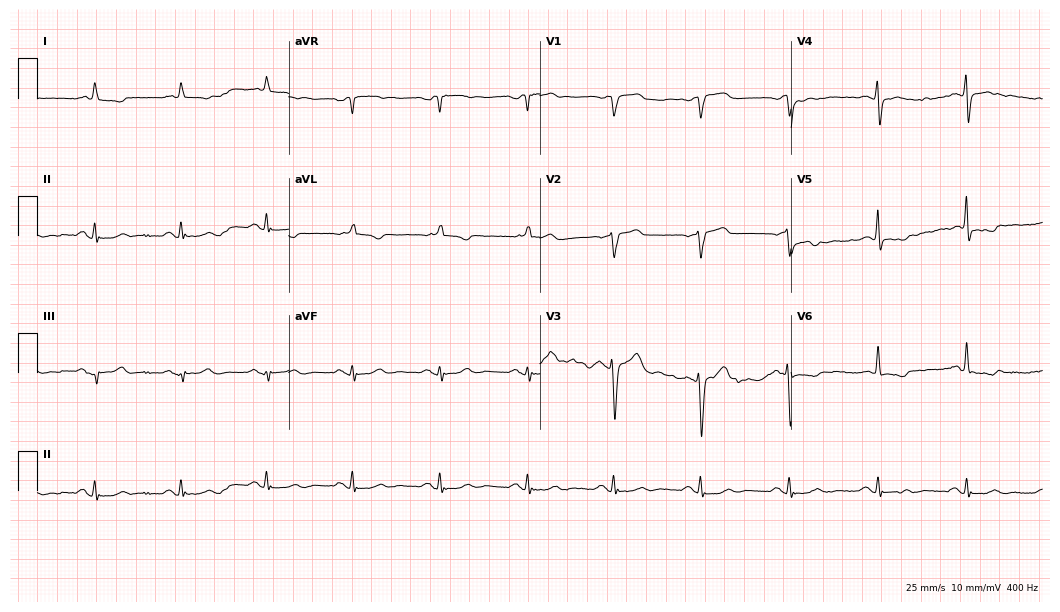
12-lead ECG from a man, 85 years old. Screened for six findings — first-degree AV block, right bundle branch block (RBBB), left bundle branch block (LBBB), sinus bradycardia, atrial fibrillation (AF), sinus tachycardia — none is recorded. Only these six findings were labelled.